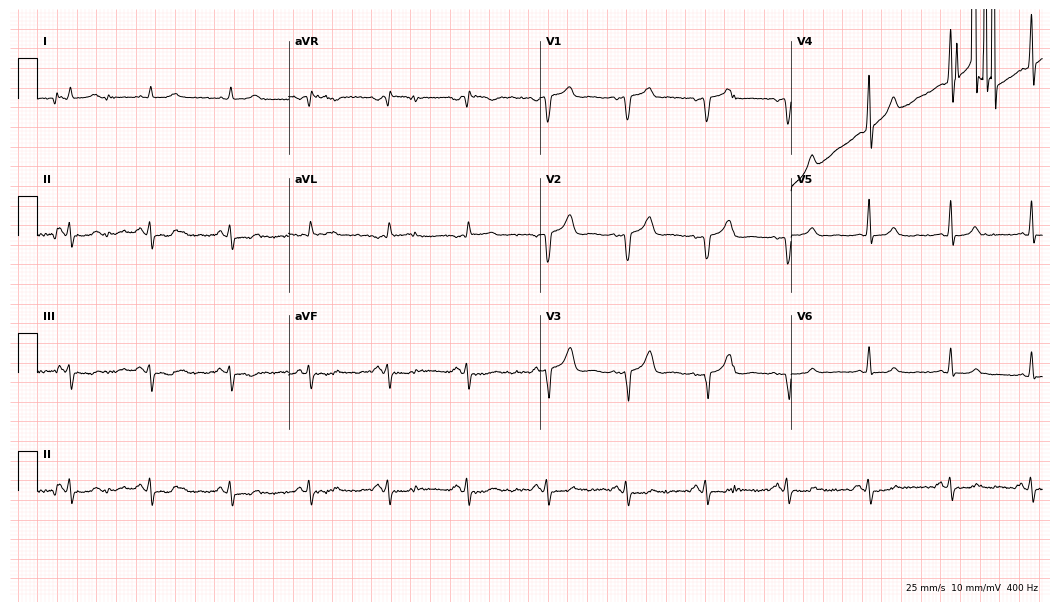
Resting 12-lead electrocardiogram. Patient: a 58-year-old male. None of these six findings is recorded: first-degree AV block, right bundle branch block, left bundle branch block, sinus bradycardia, atrial fibrillation, sinus tachycardia.